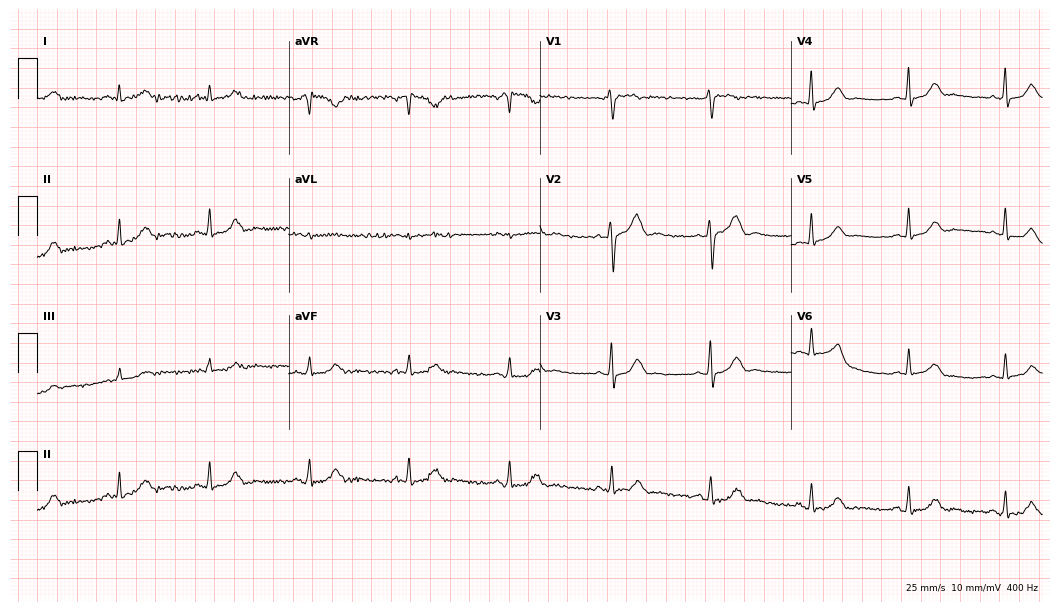
ECG — a 28-year-old female patient. Labelled as a normal ECG.